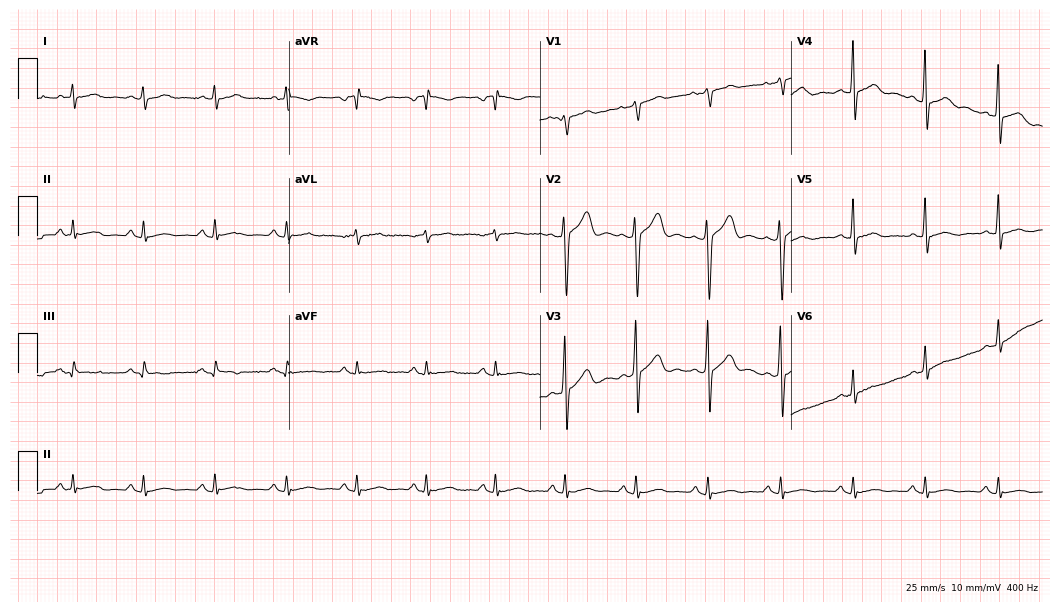
ECG (10.2-second recording at 400 Hz) — a male, 55 years old. Screened for six findings — first-degree AV block, right bundle branch block (RBBB), left bundle branch block (LBBB), sinus bradycardia, atrial fibrillation (AF), sinus tachycardia — none is recorded. Other findings, if any, are not listed.